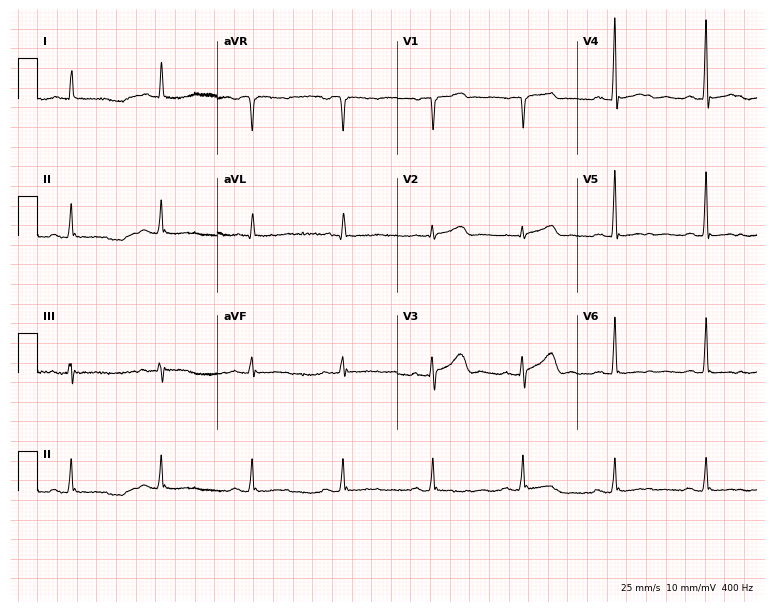
Electrocardiogram, a 79-year-old female patient. Of the six screened findings (first-degree AV block, right bundle branch block, left bundle branch block, sinus bradycardia, atrial fibrillation, sinus tachycardia), none is recorded. Findings outside these six are not listed.